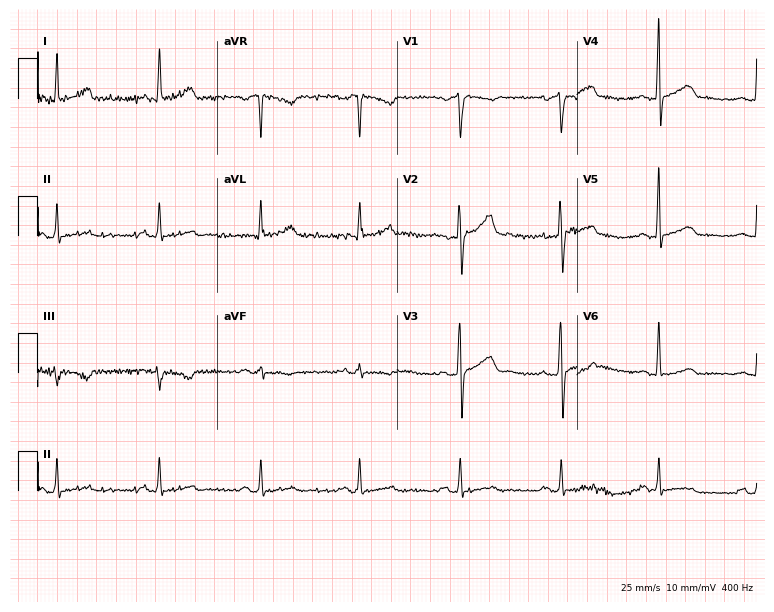
12-lead ECG from a male, 51 years old. Recorded interpretation: within normal limits.